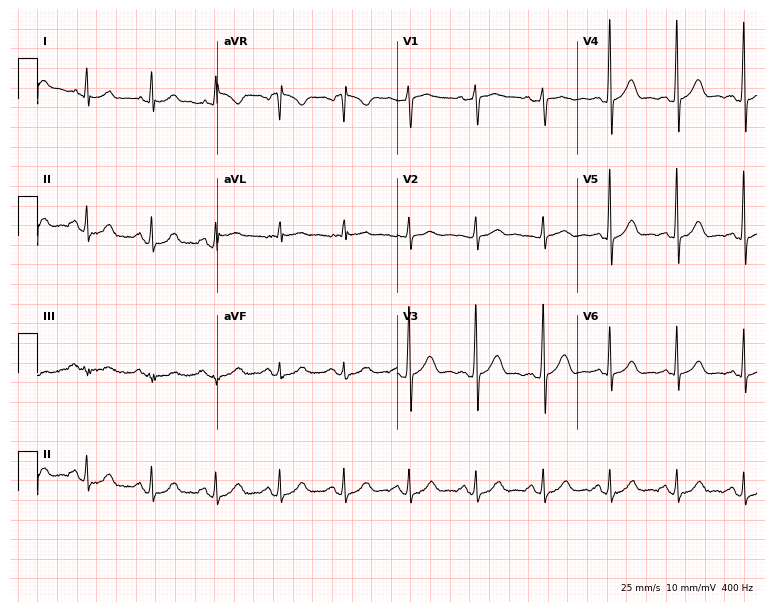
12-lead ECG from a 51-year-old man. Labelled as a normal ECG.